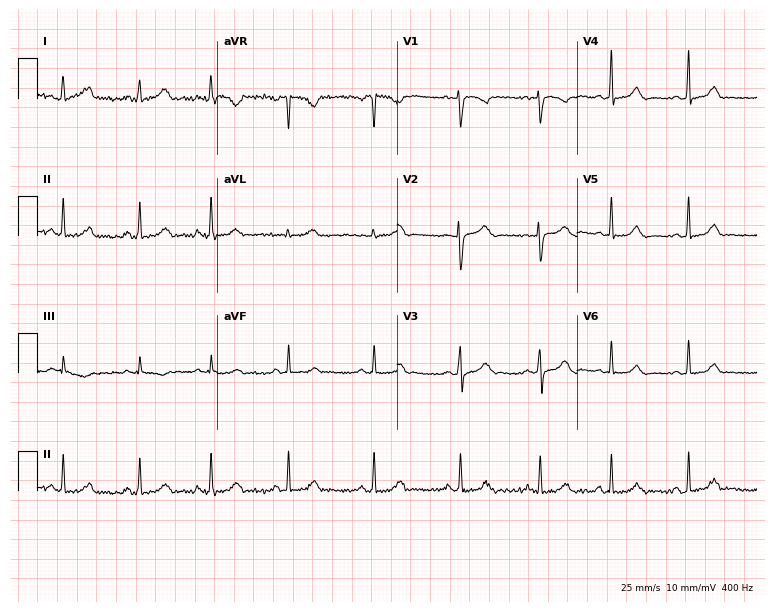
Electrocardiogram (7.3-second recording at 400 Hz), a female, 23 years old. Of the six screened findings (first-degree AV block, right bundle branch block, left bundle branch block, sinus bradycardia, atrial fibrillation, sinus tachycardia), none is recorded. Other findings, if any, are not listed.